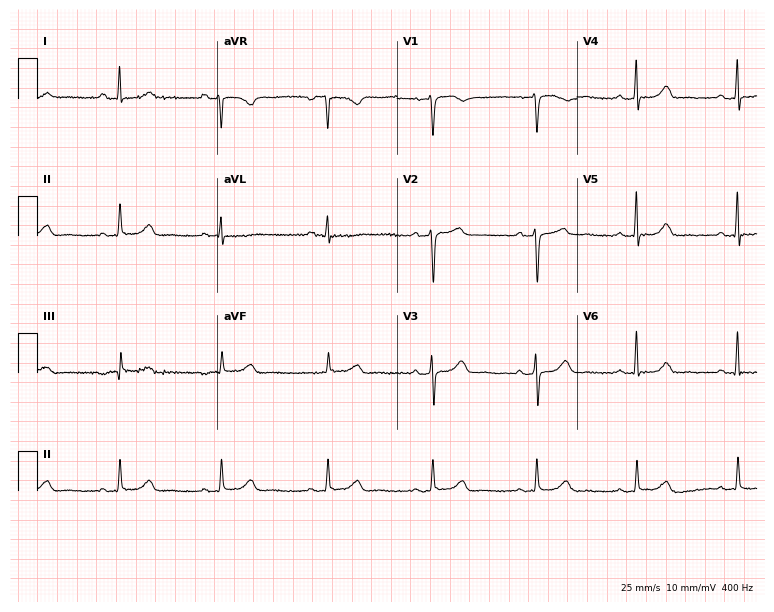
Resting 12-lead electrocardiogram (7.3-second recording at 400 Hz). Patient: a 51-year-old female. Read as a normal ECG.